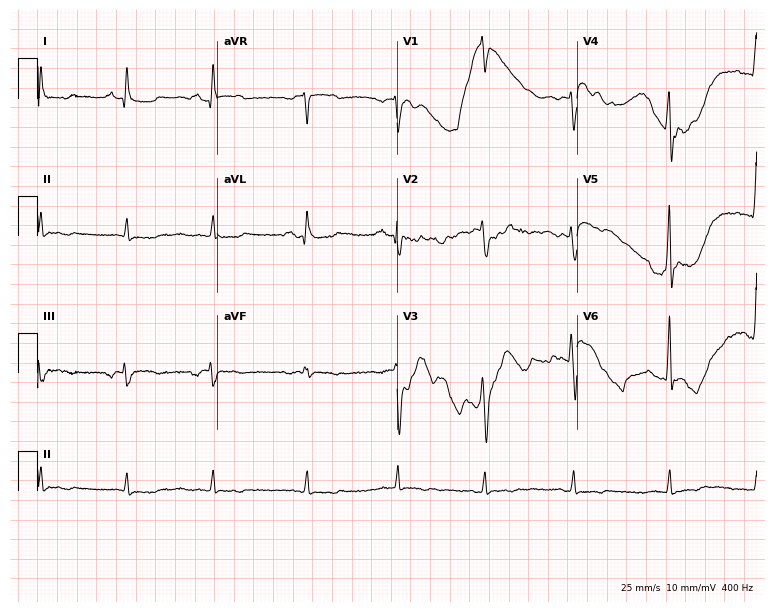
12-lead ECG from a 72-year-old man. No first-degree AV block, right bundle branch block, left bundle branch block, sinus bradycardia, atrial fibrillation or sinus tachycardia recorded for this tracing. Only these six findings were labelled.